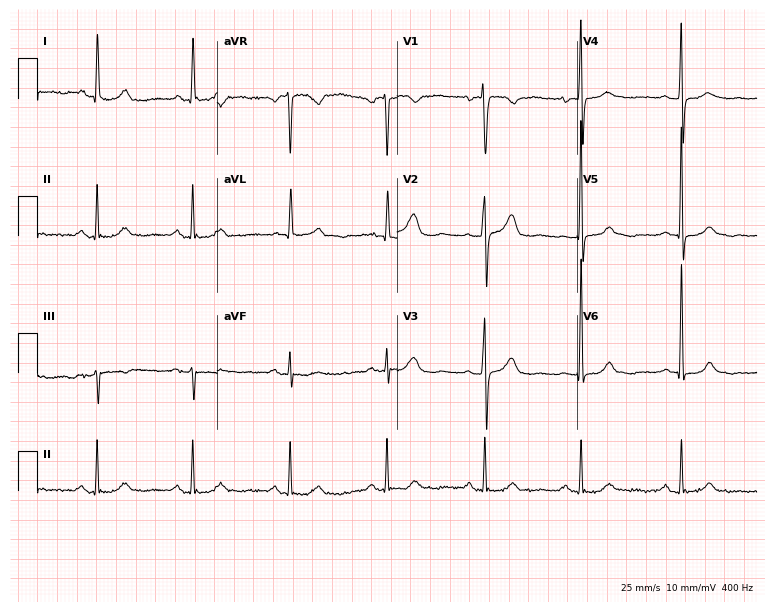
Standard 12-lead ECG recorded from a 69-year-old woman. None of these six findings is recorded: first-degree AV block, right bundle branch block, left bundle branch block, sinus bradycardia, atrial fibrillation, sinus tachycardia. Findings outside these six are not listed.